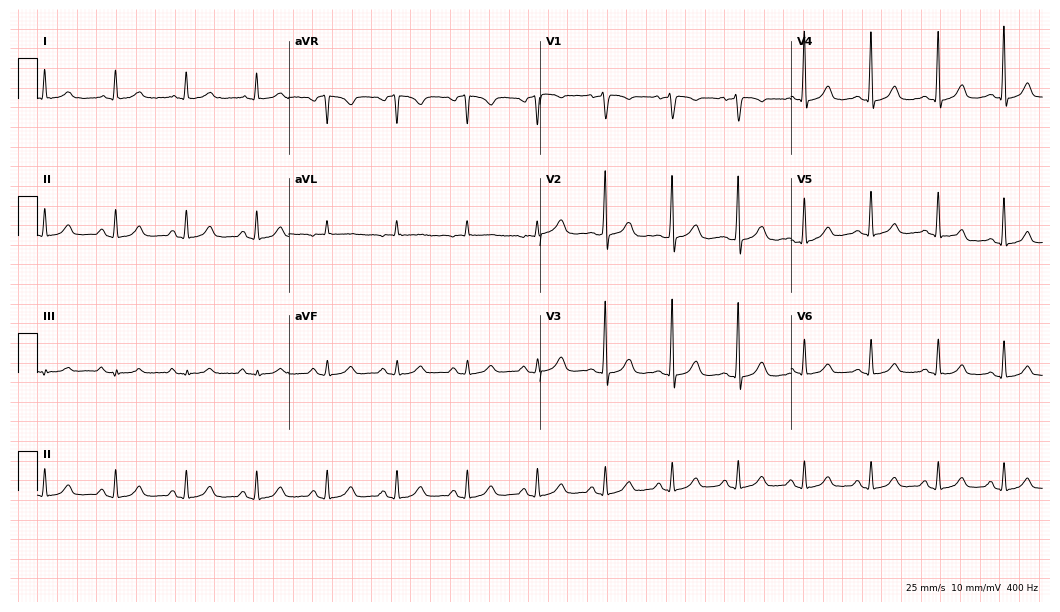
Electrocardiogram (10.2-second recording at 400 Hz), a female, 77 years old. Overall reading on record: normal ECG.